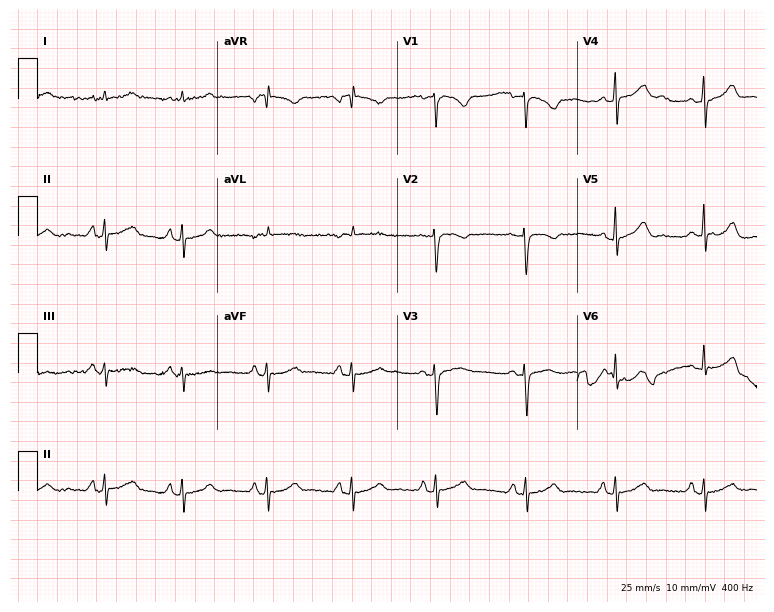
Resting 12-lead electrocardiogram. Patient: a male, 56 years old. None of these six findings is recorded: first-degree AV block, right bundle branch block, left bundle branch block, sinus bradycardia, atrial fibrillation, sinus tachycardia. Only these six findings were labelled.